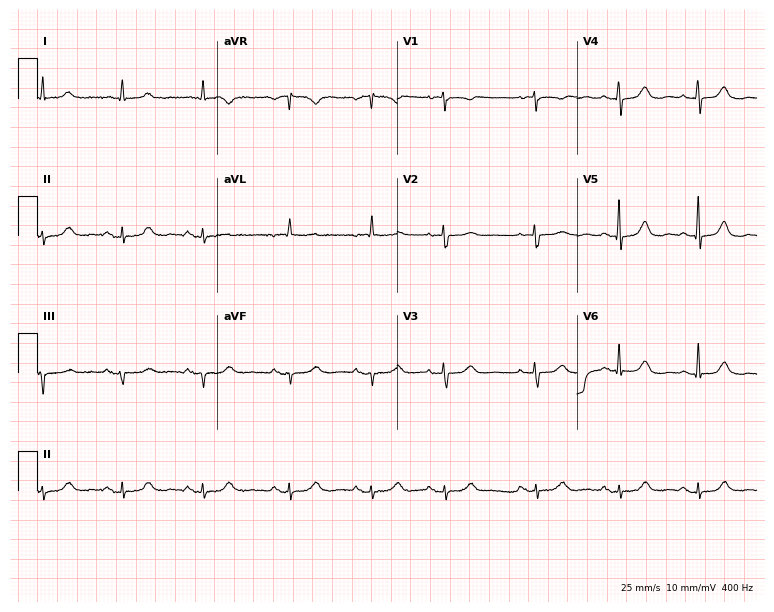
ECG (7.3-second recording at 400 Hz) — a female, 79 years old. Screened for six findings — first-degree AV block, right bundle branch block, left bundle branch block, sinus bradycardia, atrial fibrillation, sinus tachycardia — none is recorded. Other findings, if any, are not listed.